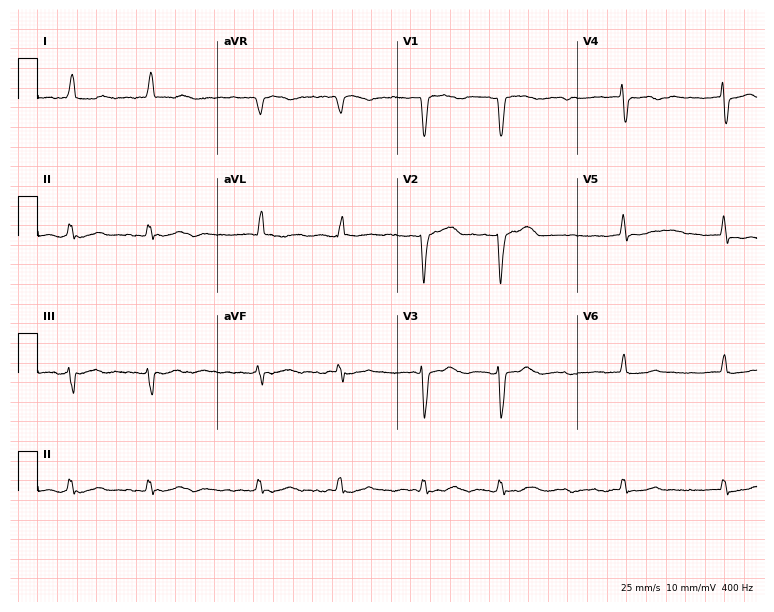
Resting 12-lead electrocardiogram. Patient: a female, 42 years old. The tracing shows atrial fibrillation (AF).